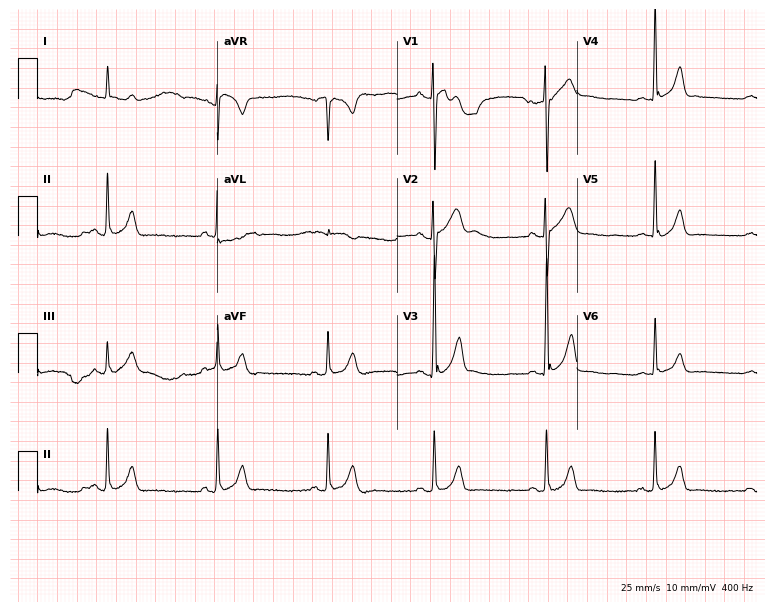
Electrocardiogram, a 20-year-old male patient. Overall reading on record: normal ECG.